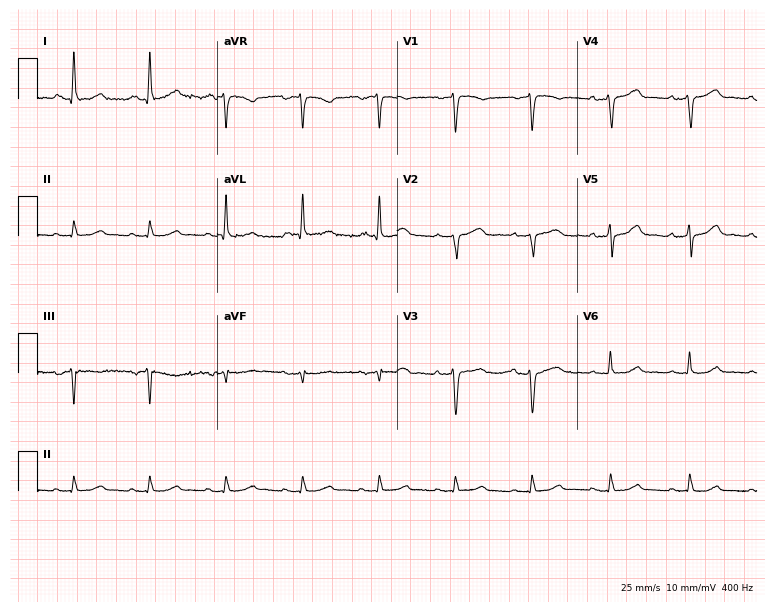
Resting 12-lead electrocardiogram (7.3-second recording at 400 Hz). Patient: a female, 57 years old. None of these six findings is recorded: first-degree AV block, right bundle branch block (RBBB), left bundle branch block (LBBB), sinus bradycardia, atrial fibrillation (AF), sinus tachycardia. Findings outside these six are not listed.